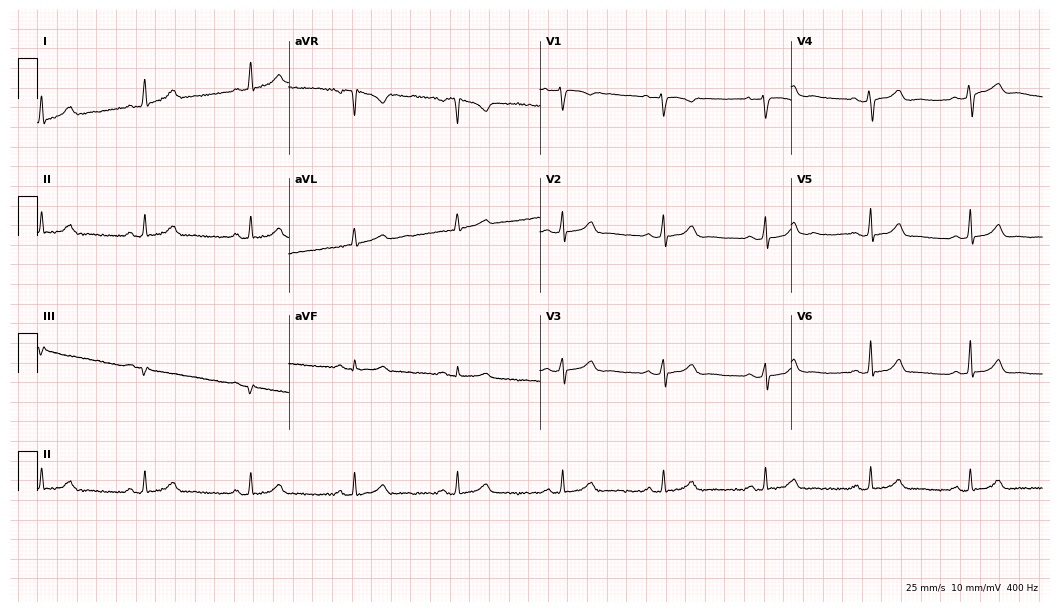
12-lead ECG (10.2-second recording at 400 Hz) from a female, 37 years old. Labelled as a normal ECG.